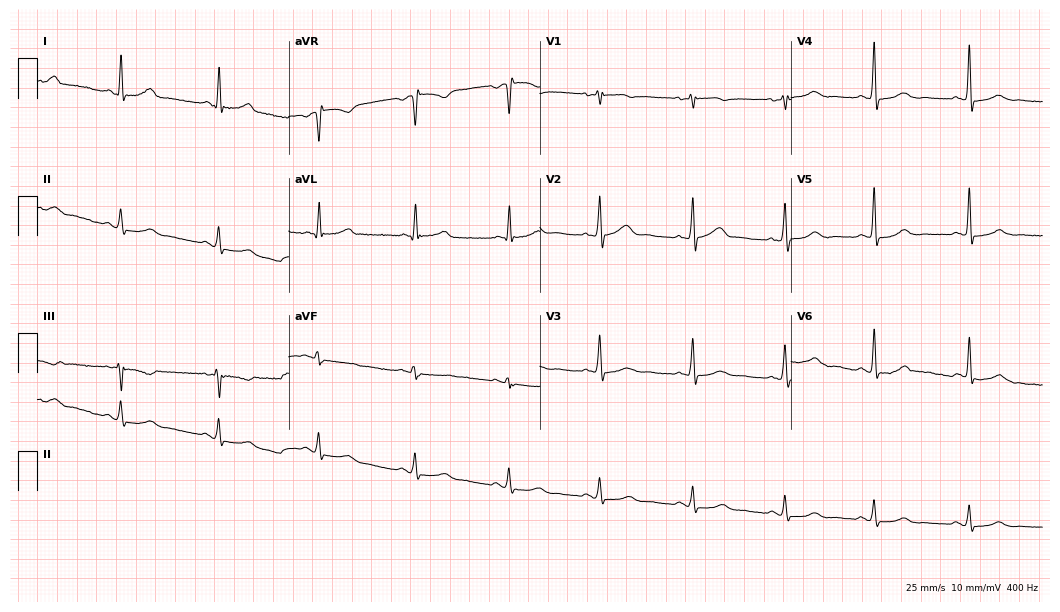
ECG (10.2-second recording at 400 Hz) — a female, 50 years old. Screened for six findings — first-degree AV block, right bundle branch block, left bundle branch block, sinus bradycardia, atrial fibrillation, sinus tachycardia — none is recorded. Other findings, if any, are not listed.